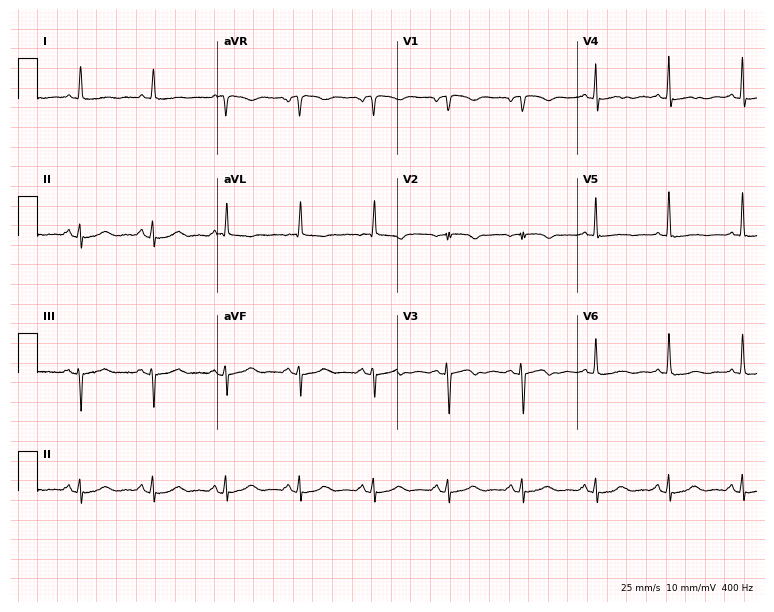
12-lead ECG (7.3-second recording at 400 Hz) from an 83-year-old female. Screened for six findings — first-degree AV block, right bundle branch block, left bundle branch block, sinus bradycardia, atrial fibrillation, sinus tachycardia — none is recorded. Only these six findings were labelled.